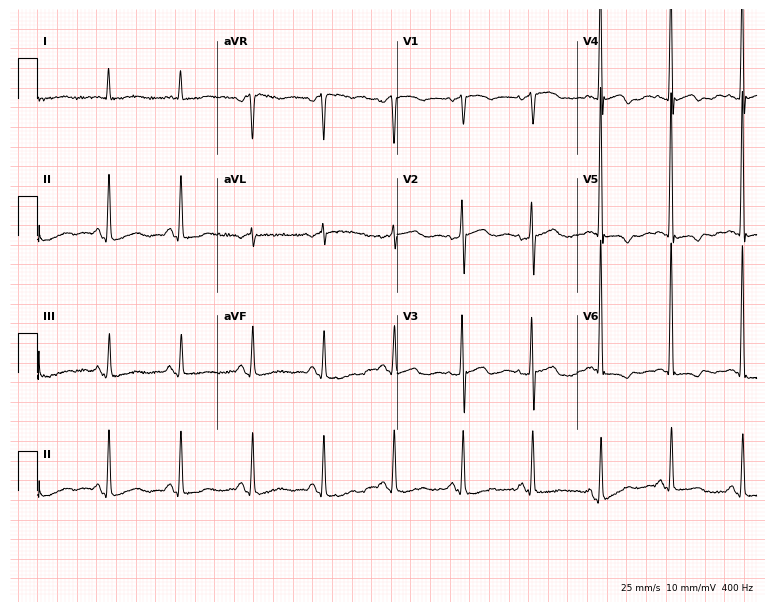
Standard 12-lead ECG recorded from a female patient, 73 years old (7.3-second recording at 400 Hz). None of these six findings is recorded: first-degree AV block, right bundle branch block, left bundle branch block, sinus bradycardia, atrial fibrillation, sinus tachycardia.